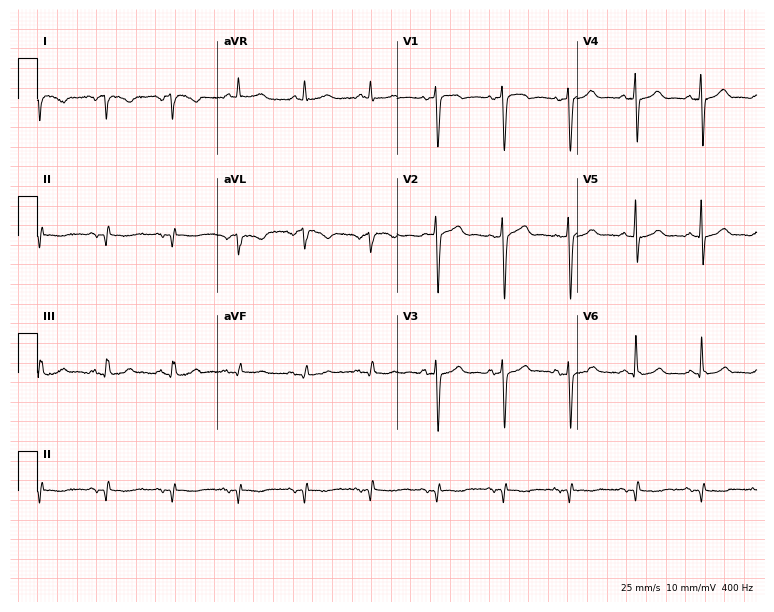
12-lead ECG from a male patient, 69 years old (7.3-second recording at 400 Hz). No first-degree AV block, right bundle branch block, left bundle branch block, sinus bradycardia, atrial fibrillation or sinus tachycardia recorded for this tracing.